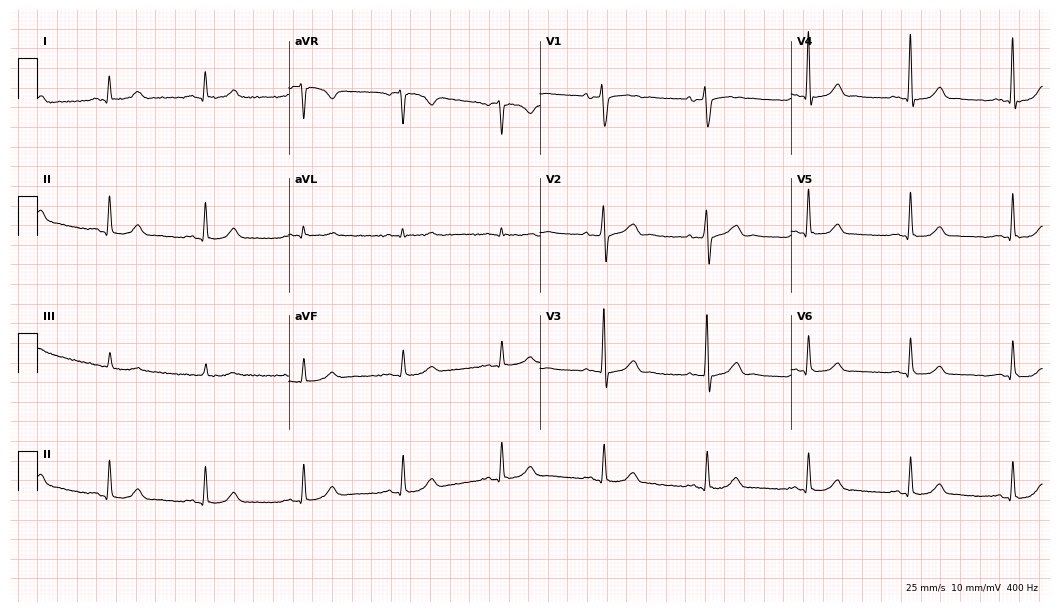
Electrocardiogram (10.2-second recording at 400 Hz), a female, 59 years old. Overall reading on record: normal ECG.